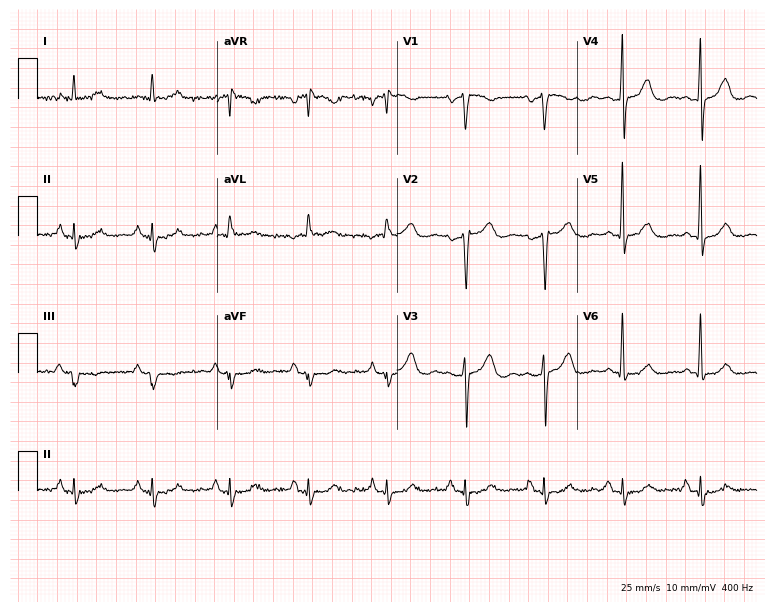
12-lead ECG from a male patient, 75 years old. No first-degree AV block, right bundle branch block, left bundle branch block, sinus bradycardia, atrial fibrillation or sinus tachycardia recorded for this tracing.